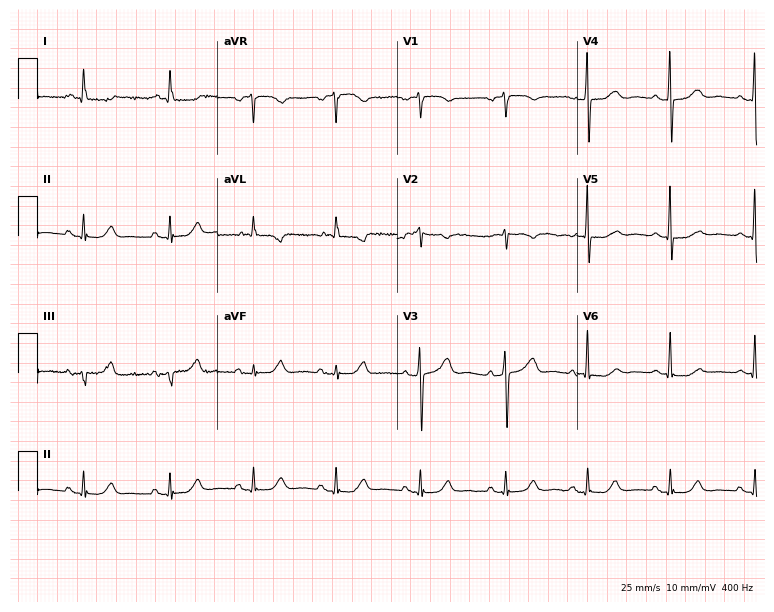
Standard 12-lead ECG recorded from an 80-year-old woman. None of these six findings is recorded: first-degree AV block, right bundle branch block, left bundle branch block, sinus bradycardia, atrial fibrillation, sinus tachycardia. Other findings, if any, are not listed.